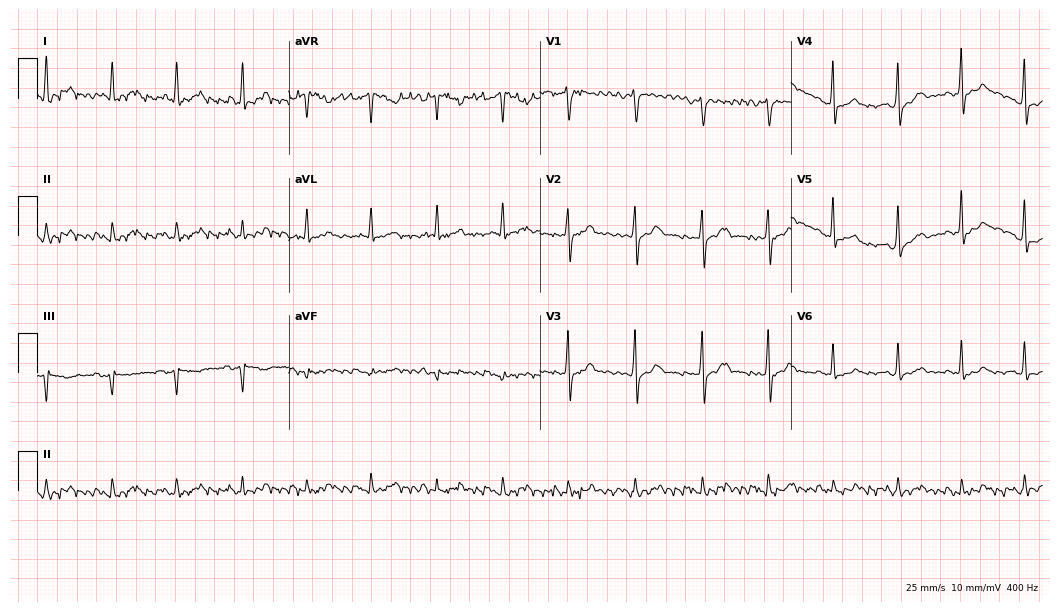
Resting 12-lead electrocardiogram (10.2-second recording at 400 Hz). Patient: a female, 50 years old. None of these six findings is recorded: first-degree AV block, right bundle branch block, left bundle branch block, sinus bradycardia, atrial fibrillation, sinus tachycardia.